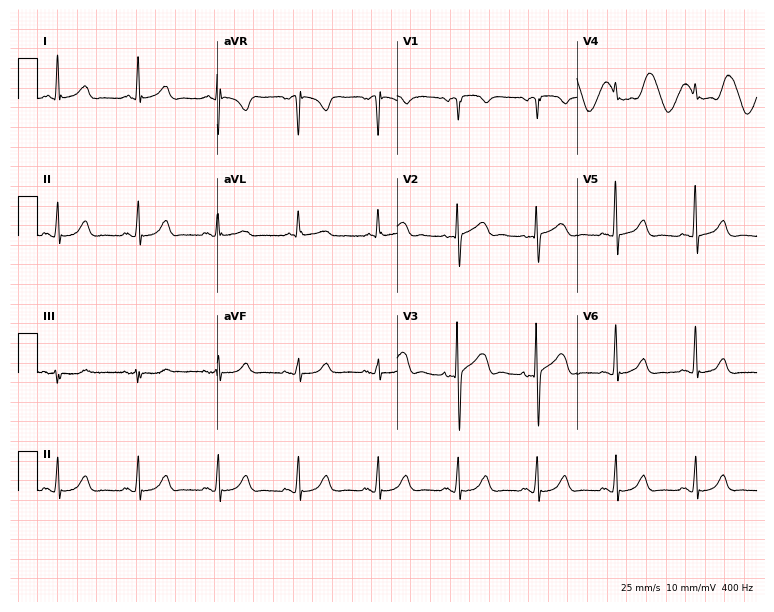
Resting 12-lead electrocardiogram (7.3-second recording at 400 Hz). Patient: a female, 70 years old. Read as a normal ECG.